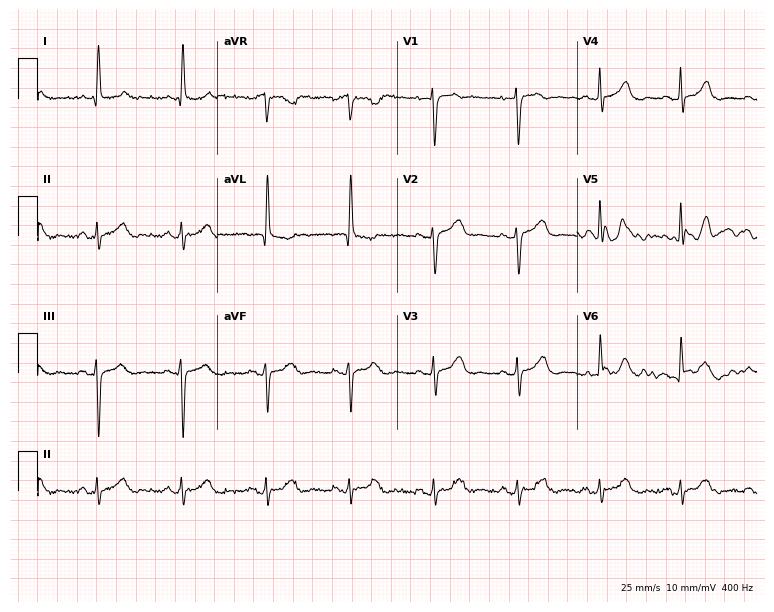
12-lead ECG (7.3-second recording at 400 Hz) from a woman, 83 years old. Labelled as a normal ECG.